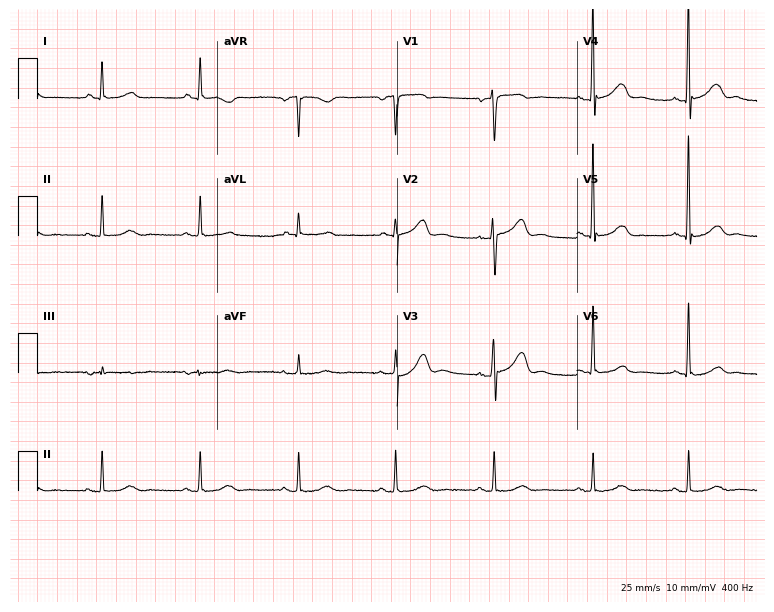
12-lead ECG from a female, 63 years old (7.3-second recording at 400 Hz). No first-degree AV block, right bundle branch block (RBBB), left bundle branch block (LBBB), sinus bradycardia, atrial fibrillation (AF) or sinus tachycardia recorded for this tracing. Findings outside these six are not listed.